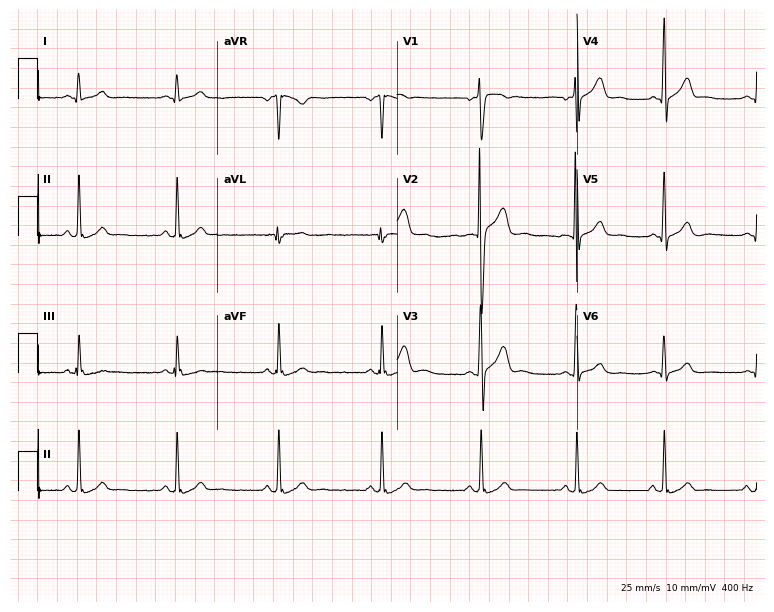
12-lead ECG from a male, 21 years old. Labelled as a normal ECG.